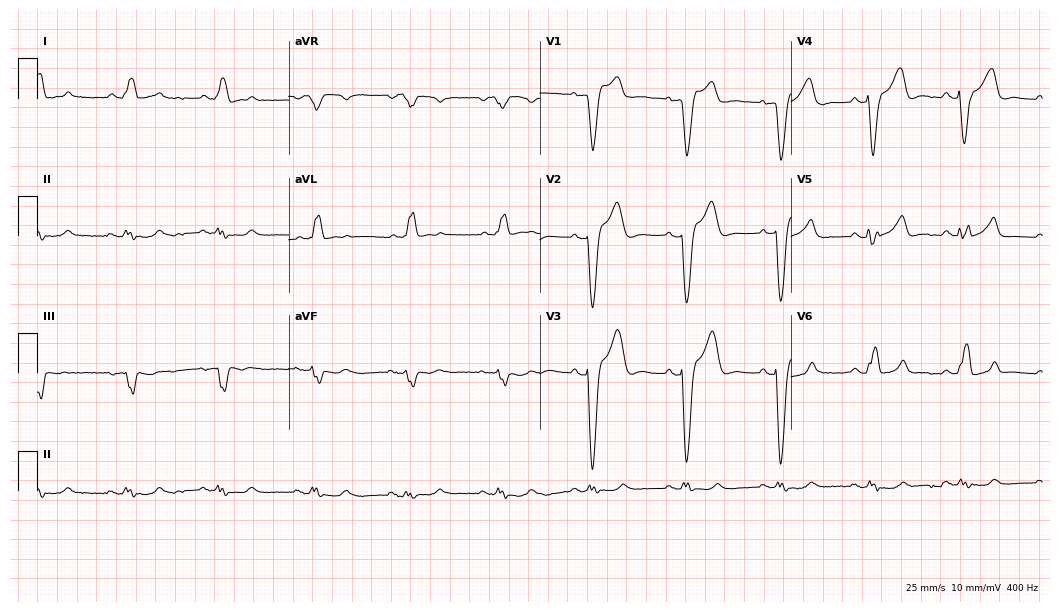
ECG — a male, 78 years old. Findings include left bundle branch block (LBBB).